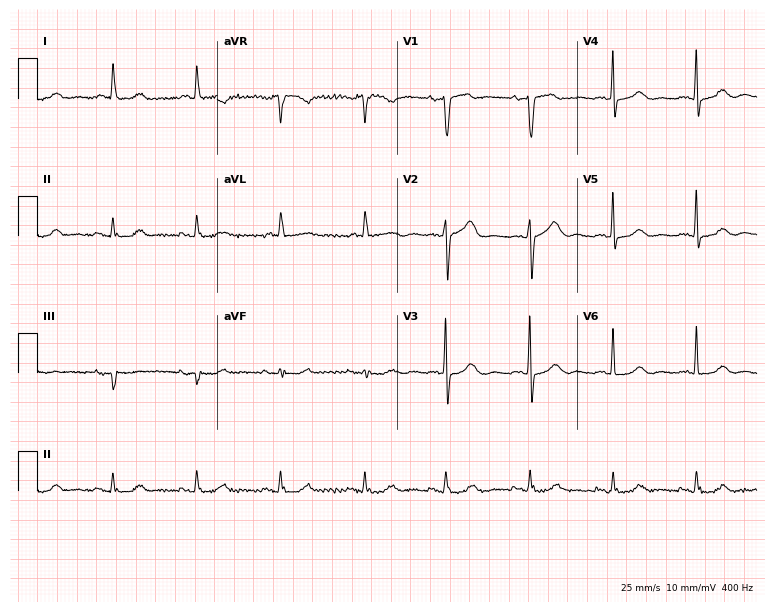
Electrocardiogram (7.3-second recording at 400 Hz), a 67-year-old woman. Of the six screened findings (first-degree AV block, right bundle branch block (RBBB), left bundle branch block (LBBB), sinus bradycardia, atrial fibrillation (AF), sinus tachycardia), none is recorded.